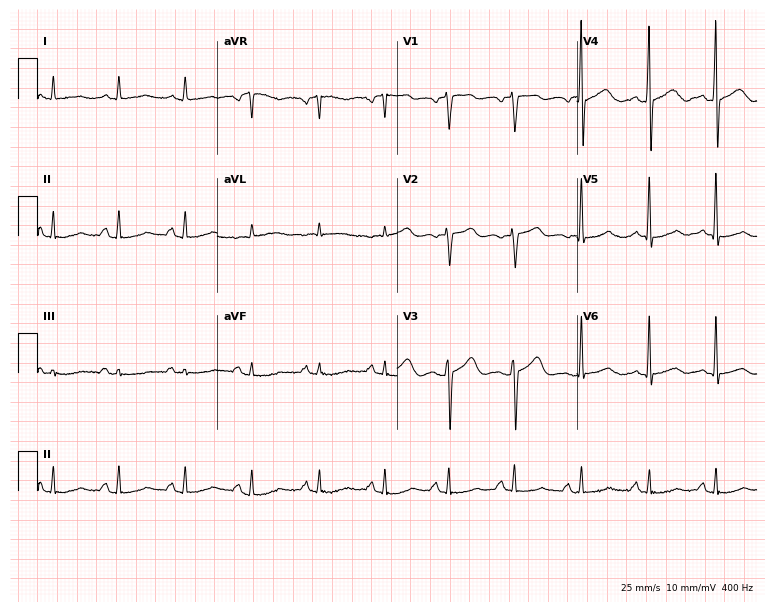
ECG — a 76-year-old female patient. Labelled as a normal ECG.